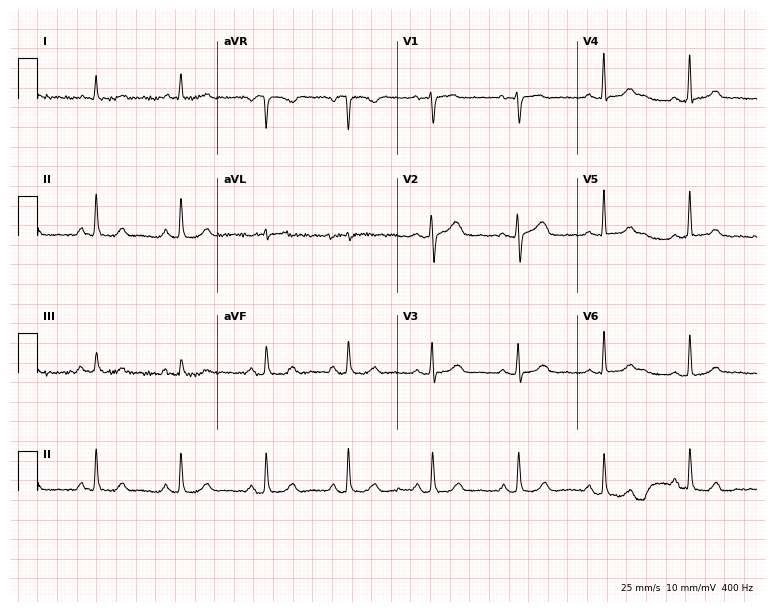
Electrocardiogram, a 67-year-old female. Of the six screened findings (first-degree AV block, right bundle branch block, left bundle branch block, sinus bradycardia, atrial fibrillation, sinus tachycardia), none is recorded. Only these six findings were labelled.